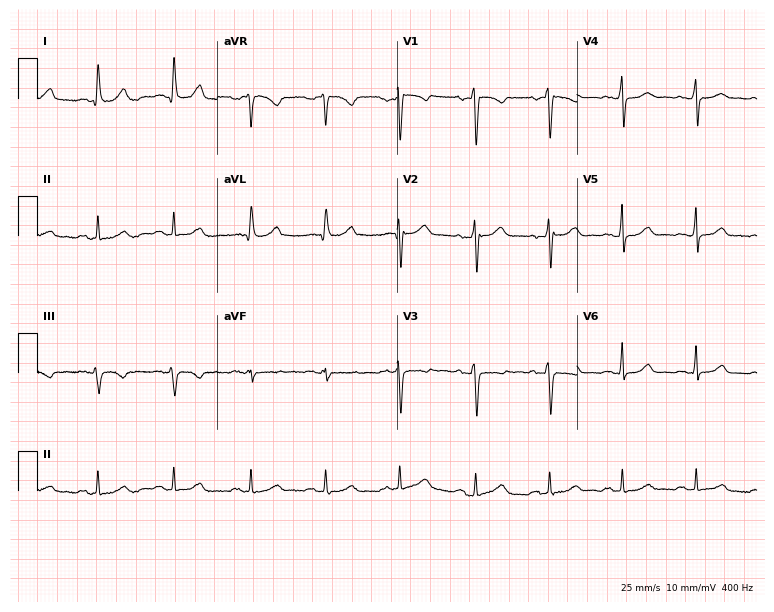
Standard 12-lead ECG recorded from a 47-year-old woman. Read as a normal ECG.